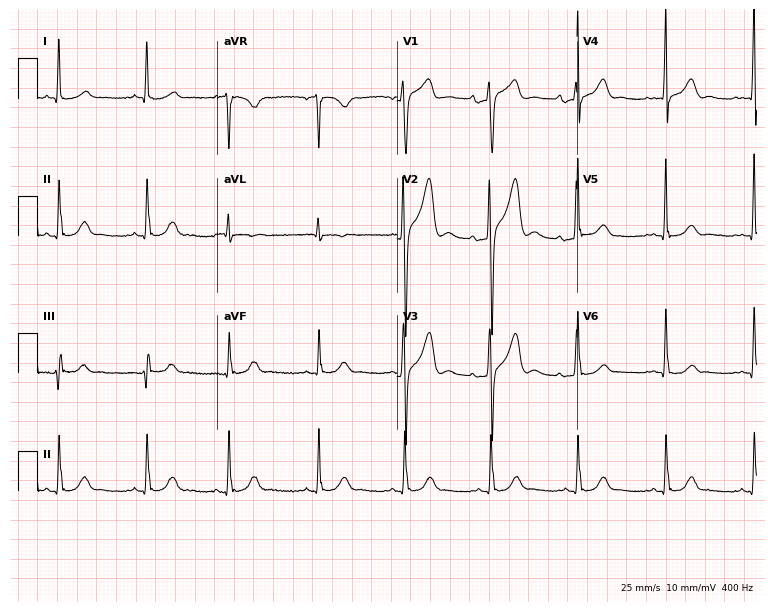
Electrocardiogram, an 81-year-old male patient. Overall reading on record: normal ECG.